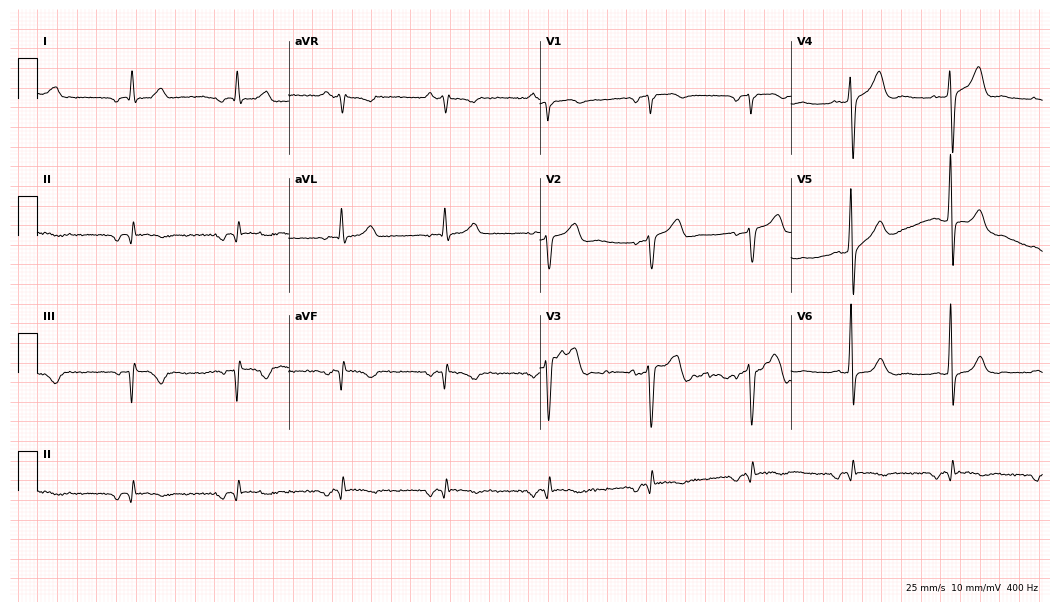
12-lead ECG (10.2-second recording at 400 Hz) from a male, 59 years old. Screened for six findings — first-degree AV block, right bundle branch block, left bundle branch block, sinus bradycardia, atrial fibrillation, sinus tachycardia — none is recorded. Only these six findings were labelled.